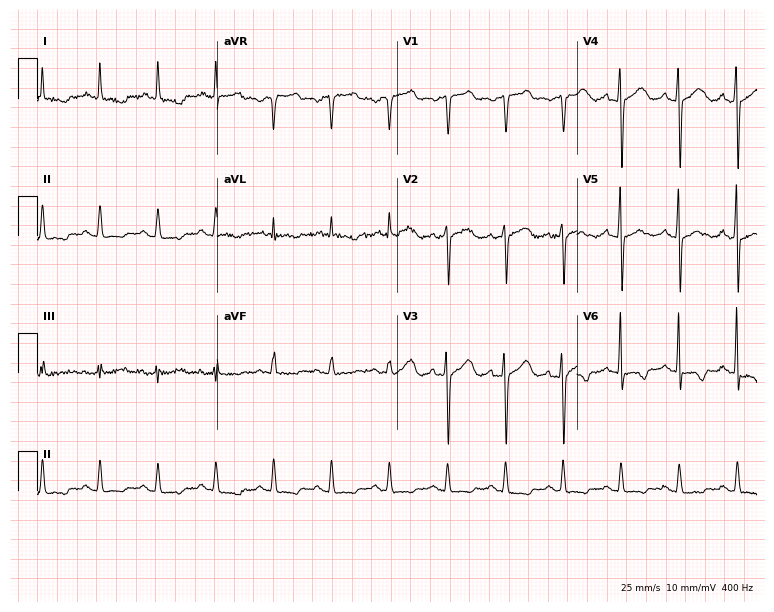
ECG — a 61-year-old female patient. Labelled as a normal ECG.